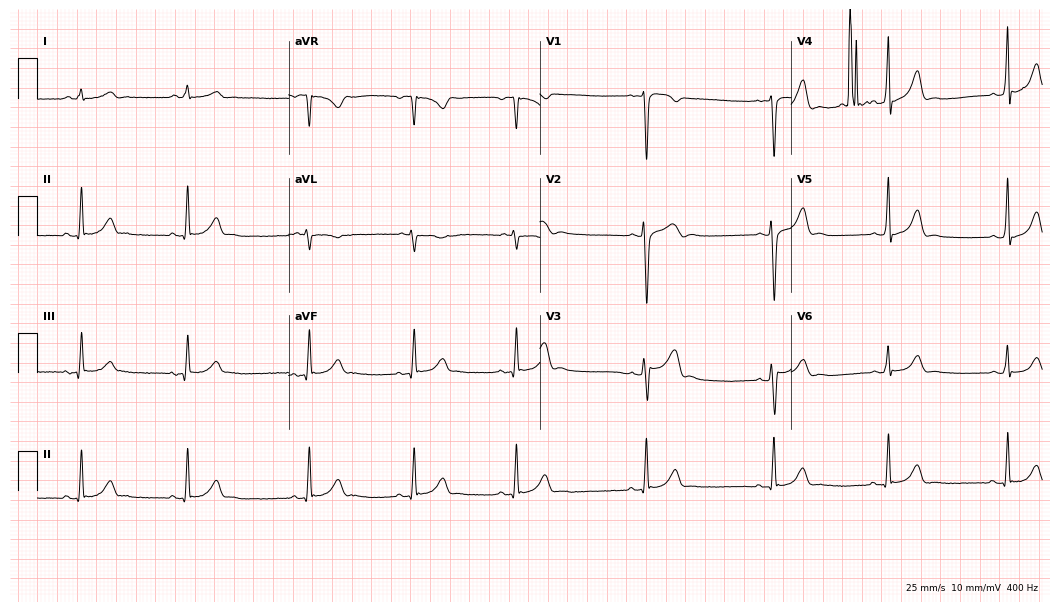
ECG (10.2-second recording at 400 Hz) — a male, 18 years old. Labelled as a normal ECG.